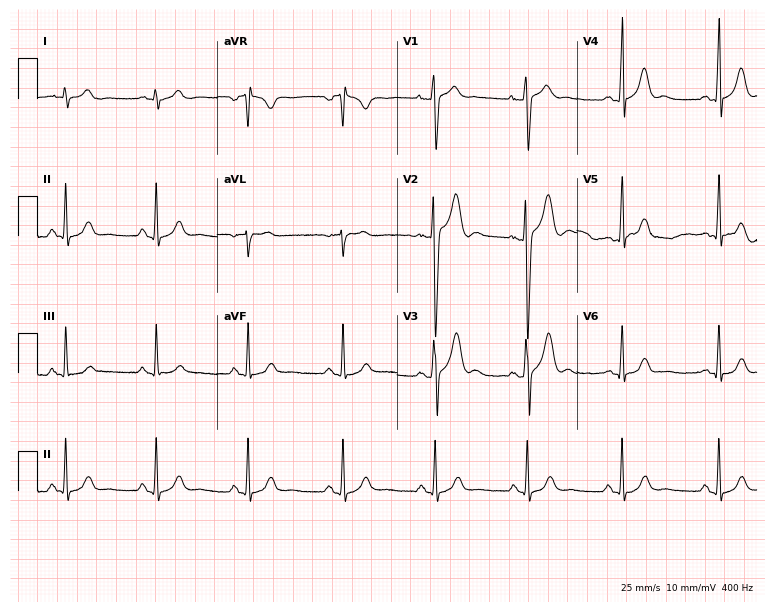
12-lead ECG from a 23-year-old male (7.3-second recording at 400 Hz). Recorded interpretation: within normal limits.